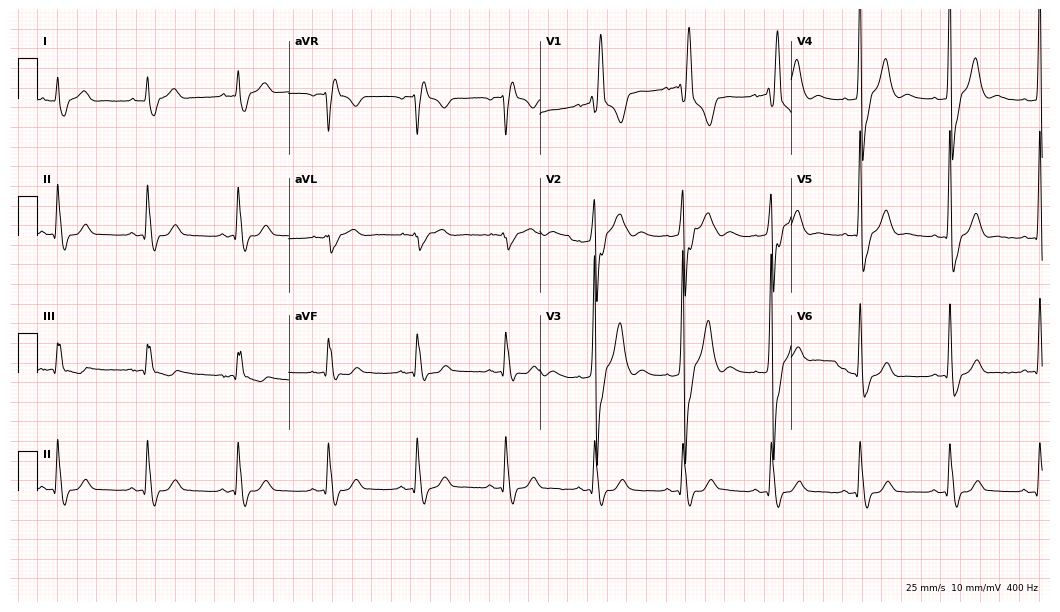
Electrocardiogram (10.2-second recording at 400 Hz), a 76-year-old man. Interpretation includes right bundle branch block.